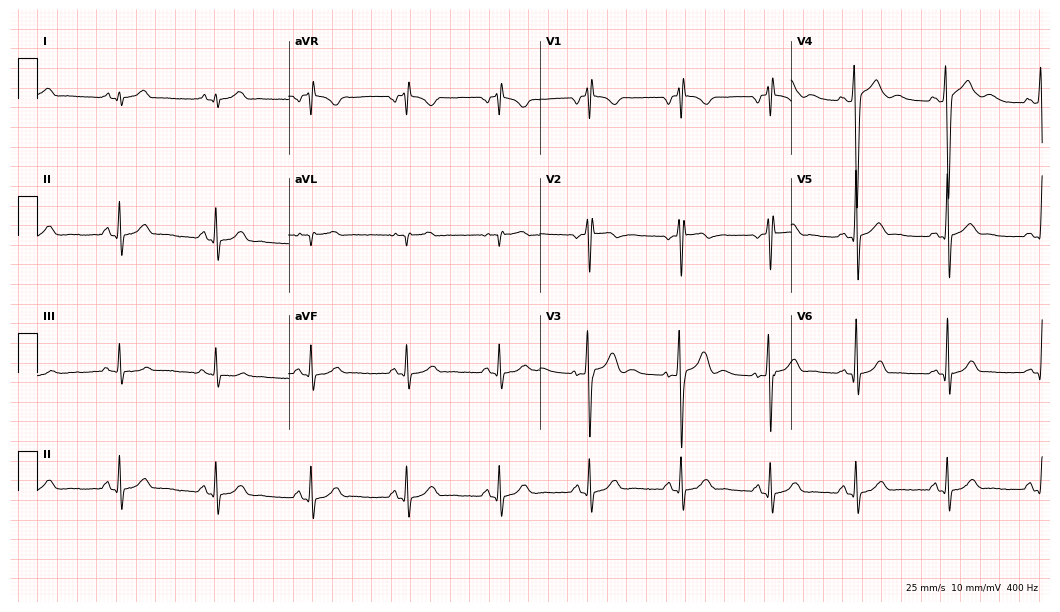
12-lead ECG from a male, 18 years old (10.2-second recording at 400 Hz). No first-degree AV block, right bundle branch block (RBBB), left bundle branch block (LBBB), sinus bradycardia, atrial fibrillation (AF) or sinus tachycardia recorded for this tracing.